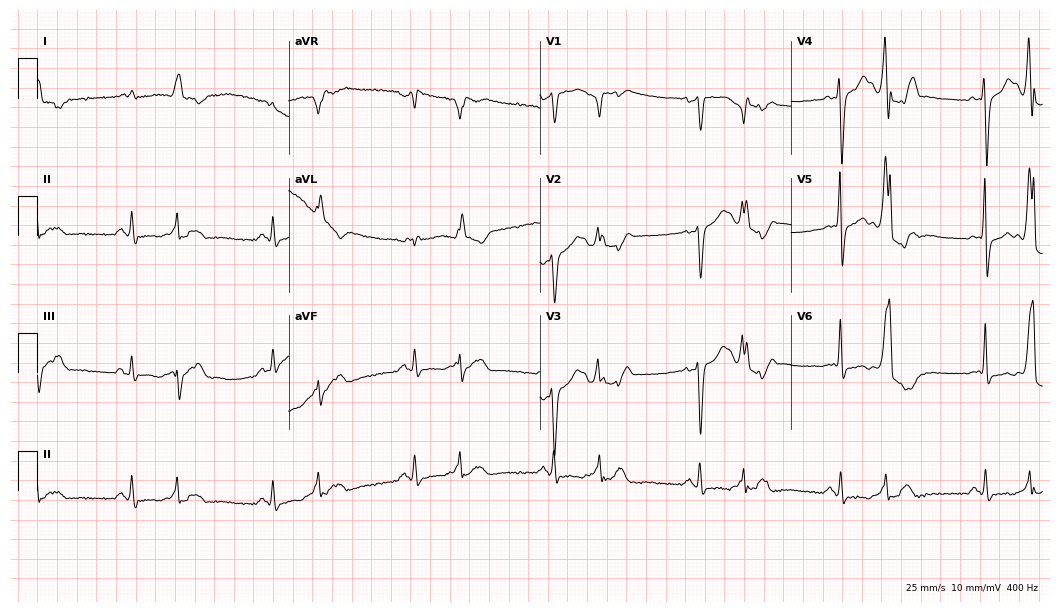
12-lead ECG (10.2-second recording at 400 Hz) from a female, 69 years old. Screened for six findings — first-degree AV block, right bundle branch block (RBBB), left bundle branch block (LBBB), sinus bradycardia, atrial fibrillation (AF), sinus tachycardia — none is recorded. Findings outside these six are not listed.